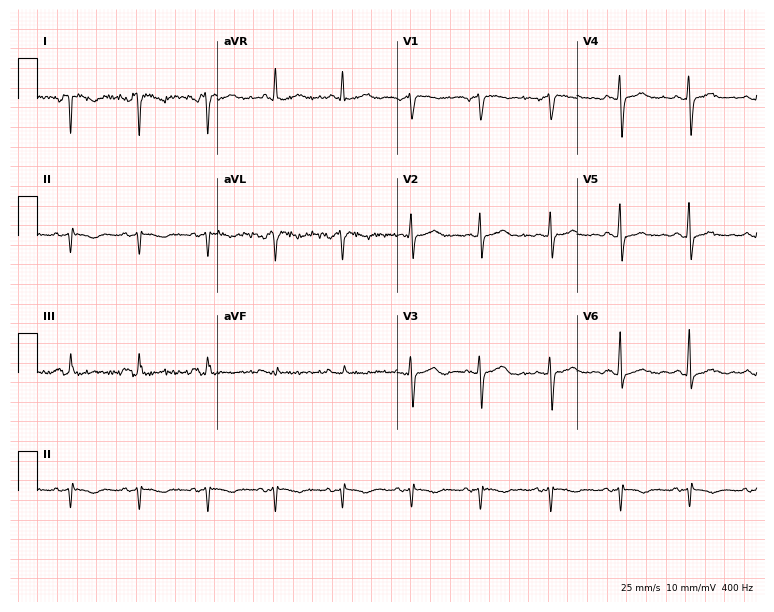
Resting 12-lead electrocardiogram (7.3-second recording at 400 Hz). Patient: a woman, 60 years old. None of these six findings is recorded: first-degree AV block, right bundle branch block, left bundle branch block, sinus bradycardia, atrial fibrillation, sinus tachycardia.